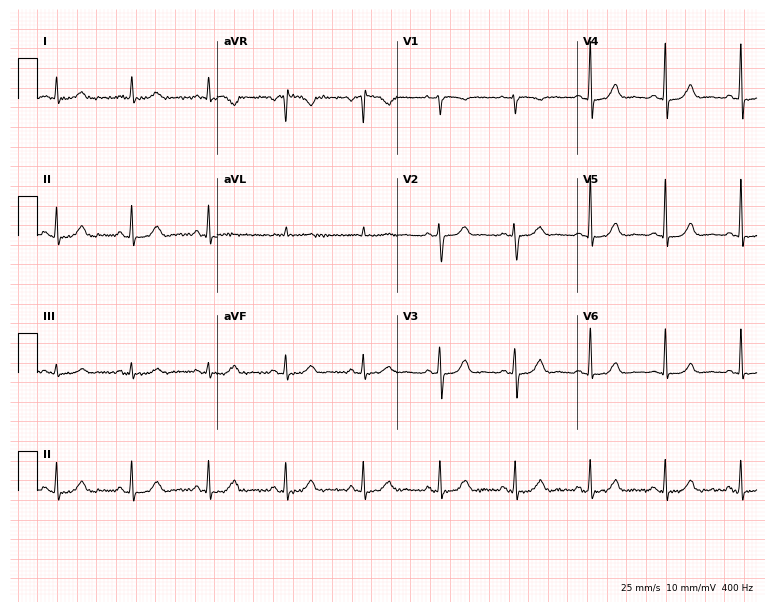
ECG (7.3-second recording at 400 Hz) — a female, 59 years old. Labelled as a normal ECG.